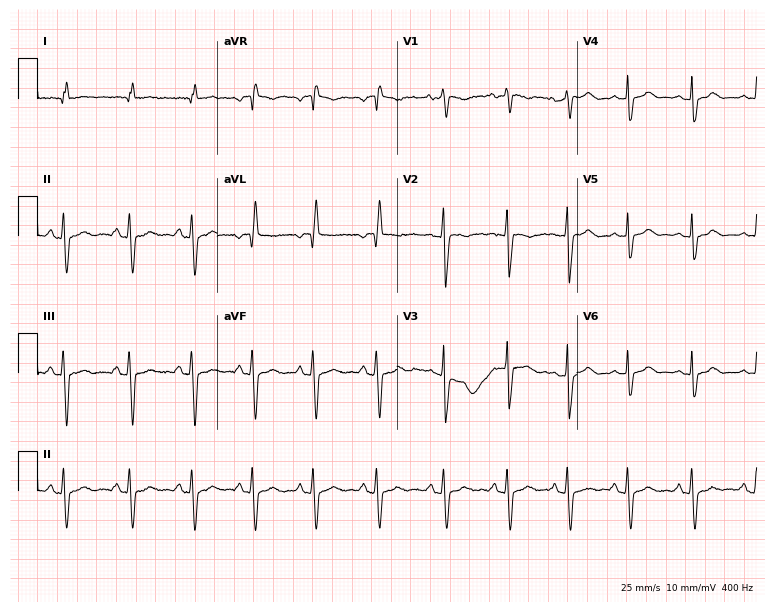
Resting 12-lead electrocardiogram. Patient: a 26-year-old man. None of these six findings is recorded: first-degree AV block, right bundle branch block, left bundle branch block, sinus bradycardia, atrial fibrillation, sinus tachycardia. Only these six findings were labelled.